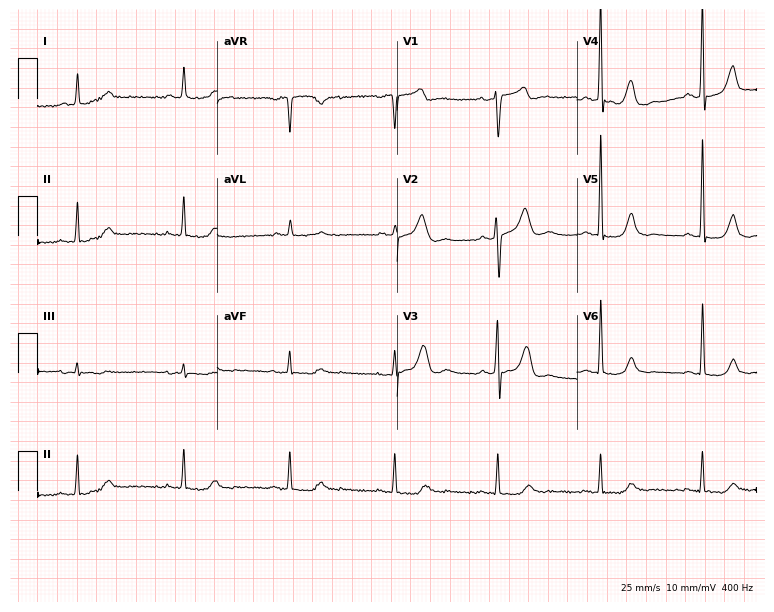
Electrocardiogram, a man, 72 years old. Of the six screened findings (first-degree AV block, right bundle branch block, left bundle branch block, sinus bradycardia, atrial fibrillation, sinus tachycardia), none is recorded. Only these six findings were labelled.